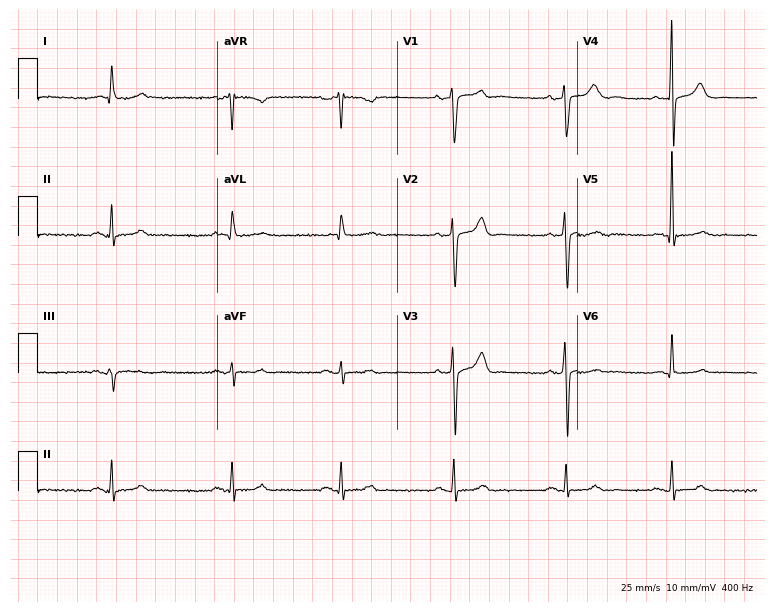
12-lead ECG from a man, 77 years old (7.3-second recording at 400 Hz). No first-degree AV block, right bundle branch block, left bundle branch block, sinus bradycardia, atrial fibrillation or sinus tachycardia recorded for this tracing.